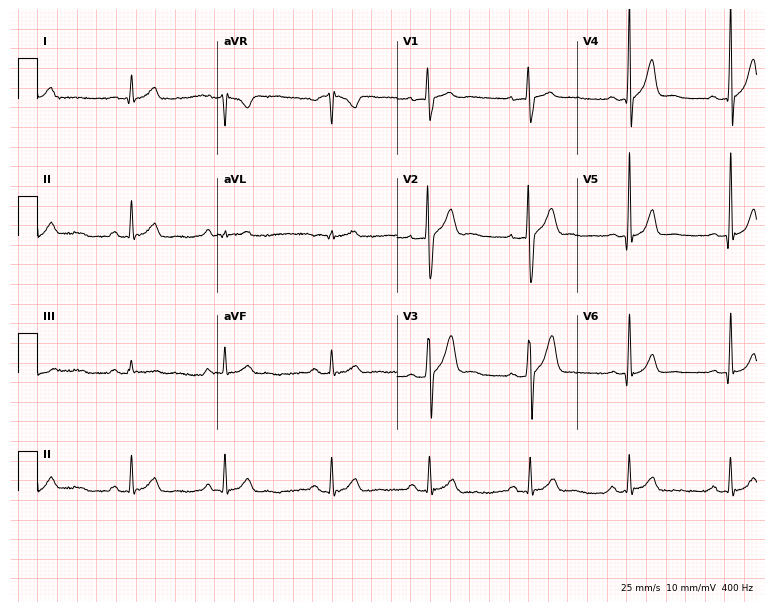
ECG — a 36-year-old man. Labelled as a normal ECG.